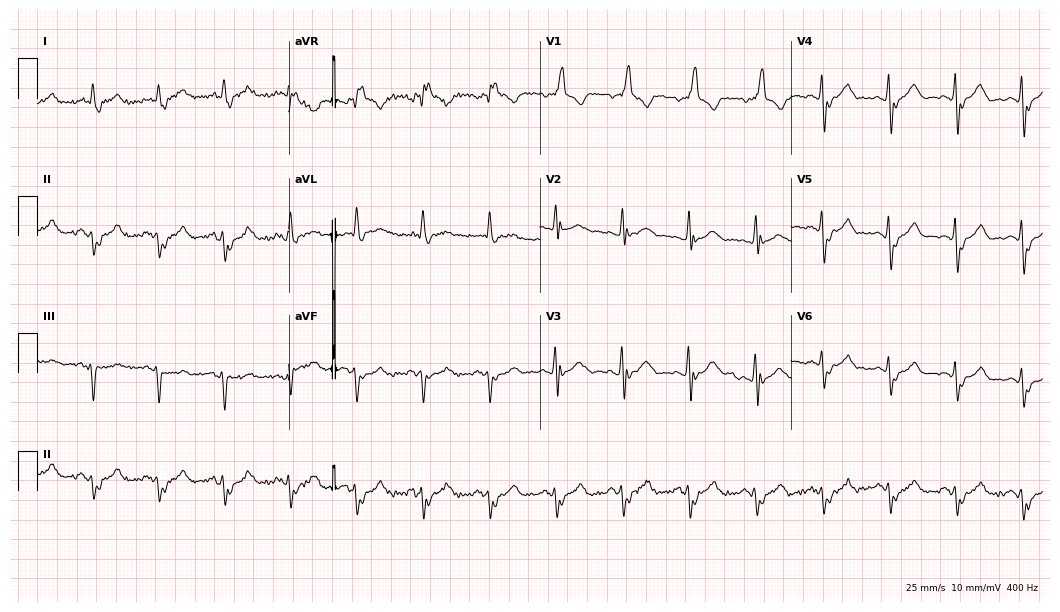
ECG (10.2-second recording at 400 Hz) — a male patient, 67 years old. Screened for six findings — first-degree AV block, right bundle branch block, left bundle branch block, sinus bradycardia, atrial fibrillation, sinus tachycardia — none is recorded.